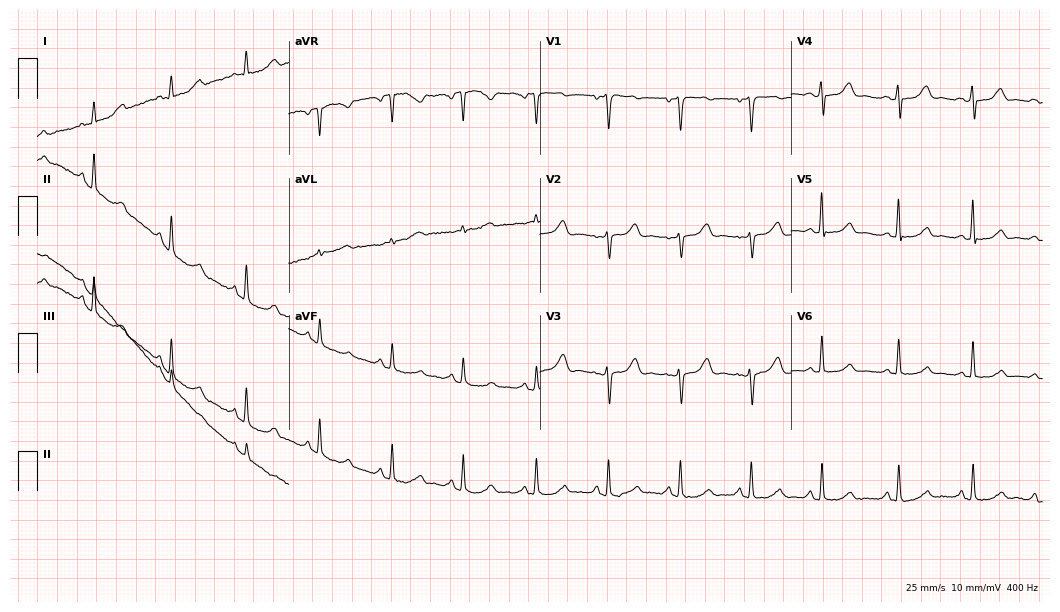
12-lead ECG from a 52-year-old female (10.2-second recording at 400 Hz). No first-degree AV block, right bundle branch block, left bundle branch block, sinus bradycardia, atrial fibrillation or sinus tachycardia recorded for this tracing.